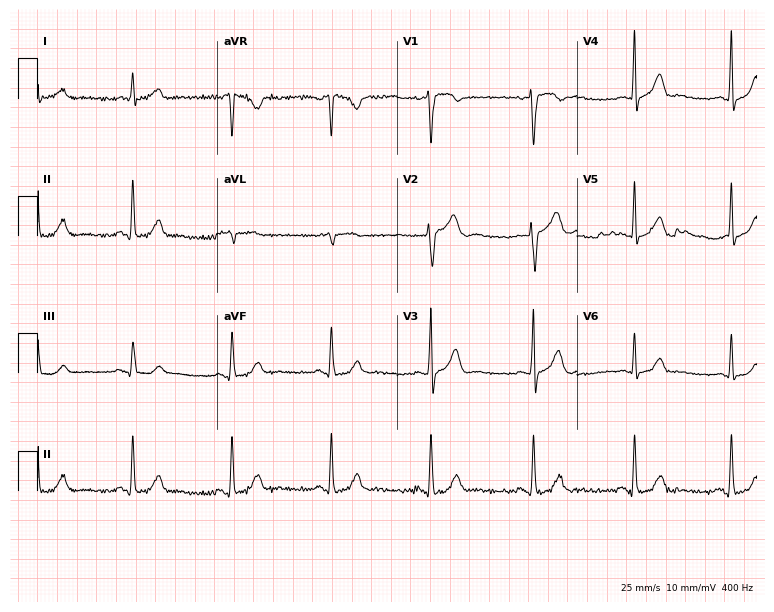
Electrocardiogram, a male patient, 46 years old. Of the six screened findings (first-degree AV block, right bundle branch block (RBBB), left bundle branch block (LBBB), sinus bradycardia, atrial fibrillation (AF), sinus tachycardia), none is recorded.